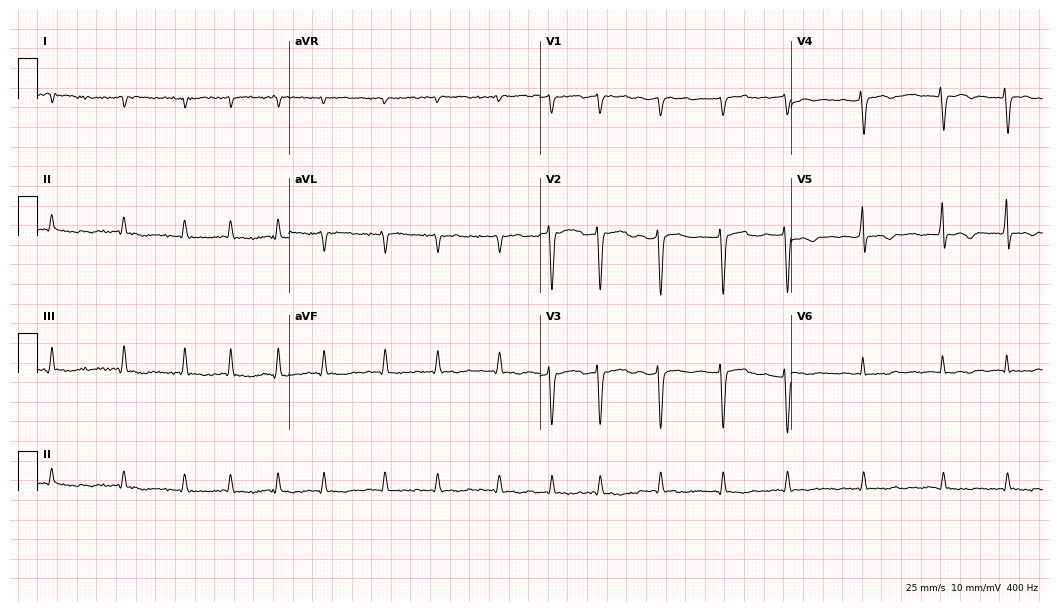
Electrocardiogram, a male patient, 80 years old. Interpretation includes atrial fibrillation.